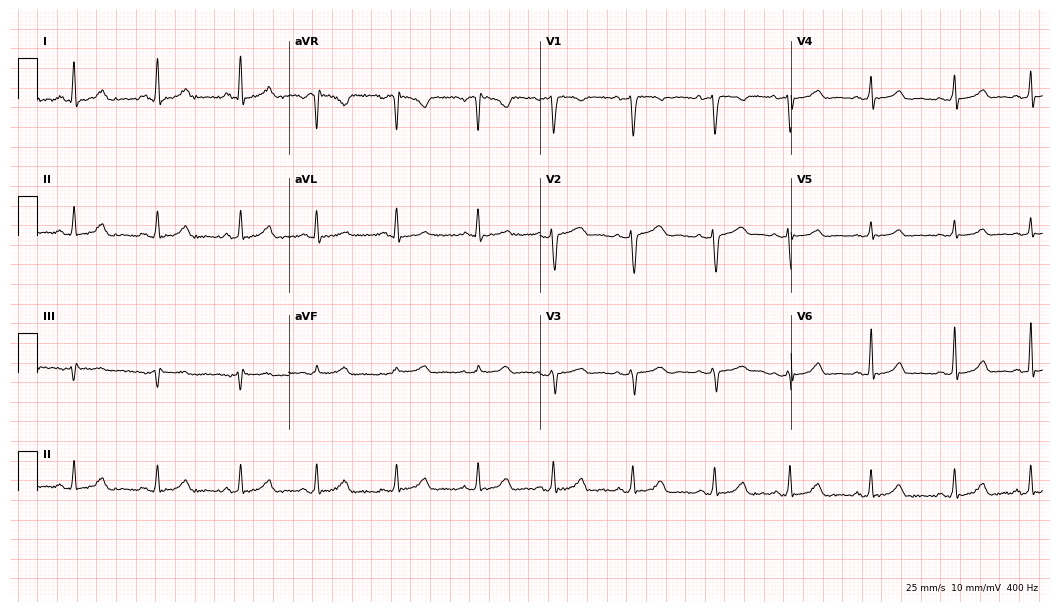
12-lead ECG (10.2-second recording at 400 Hz) from a female patient, 26 years old. Labelled as a normal ECG.